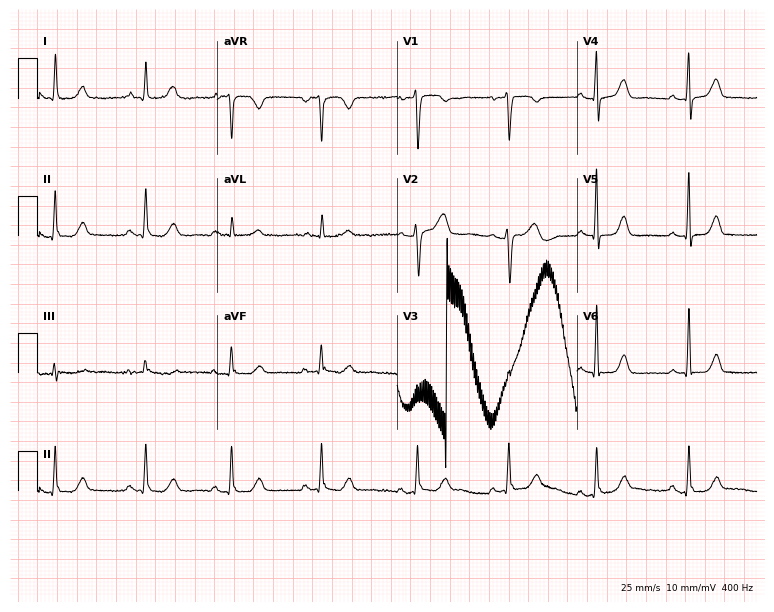
Resting 12-lead electrocardiogram. Patient: a female, 81 years old. Read as a normal ECG.